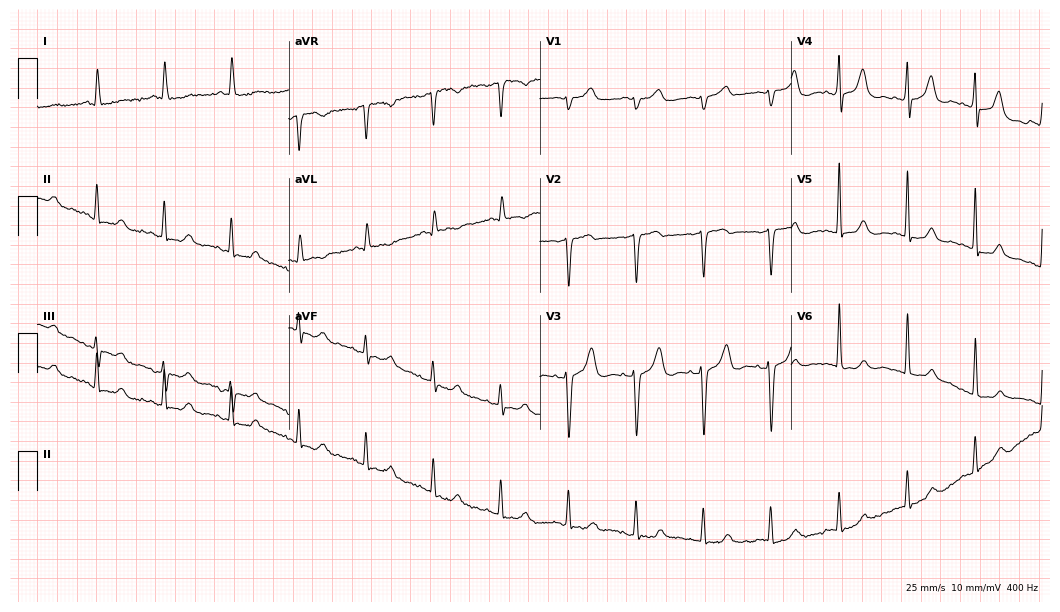
Electrocardiogram, a female patient, 78 years old. Of the six screened findings (first-degree AV block, right bundle branch block, left bundle branch block, sinus bradycardia, atrial fibrillation, sinus tachycardia), none is recorded.